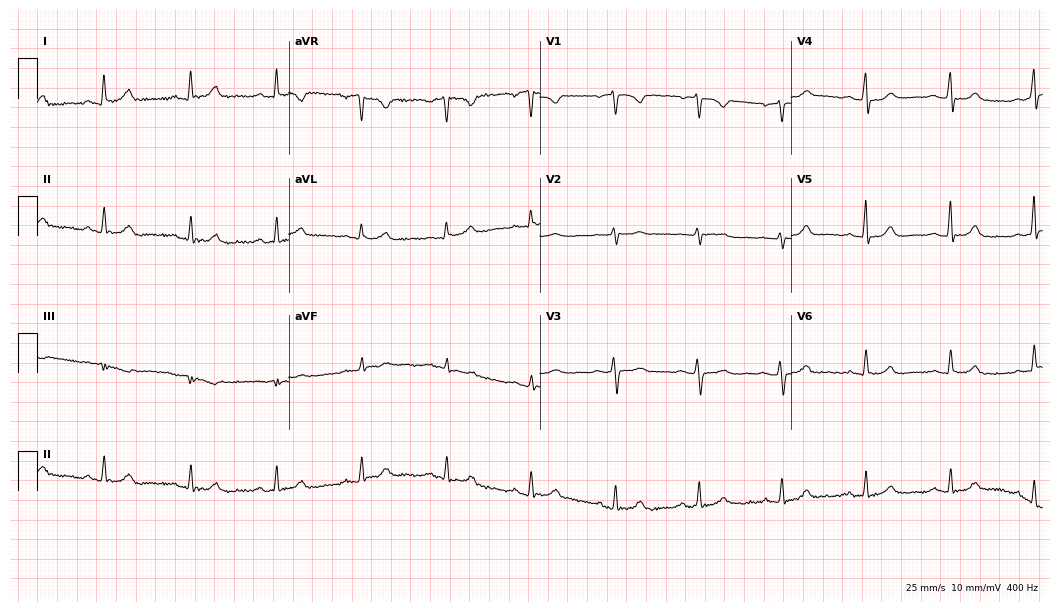
ECG (10.2-second recording at 400 Hz) — a woman, 51 years old. Labelled as a normal ECG.